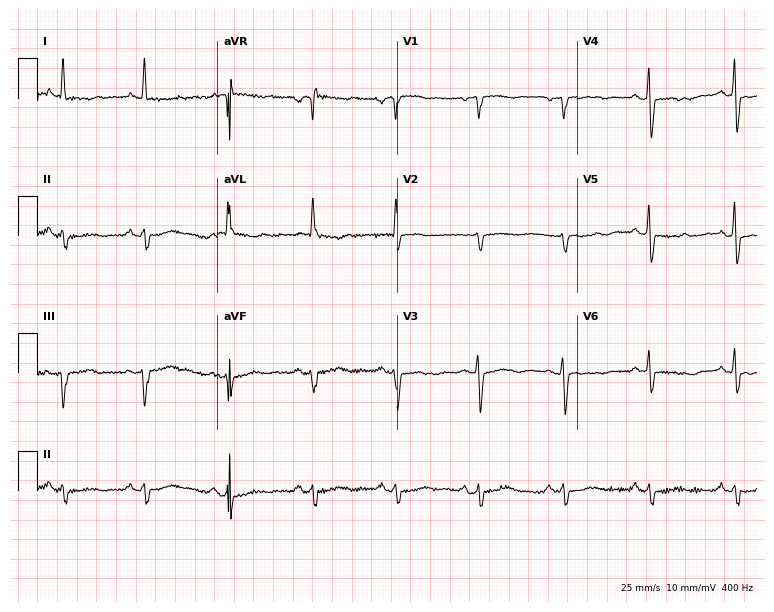
Electrocardiogram (7.3-second recording at 400 Hz), an 81-year-old female. Of the six screened findings (first-degree AV block, right bundle branch block, left bundle branch block, sinus bradycardia, atrial fibrillation, sinus tachycardia), none is recorded.